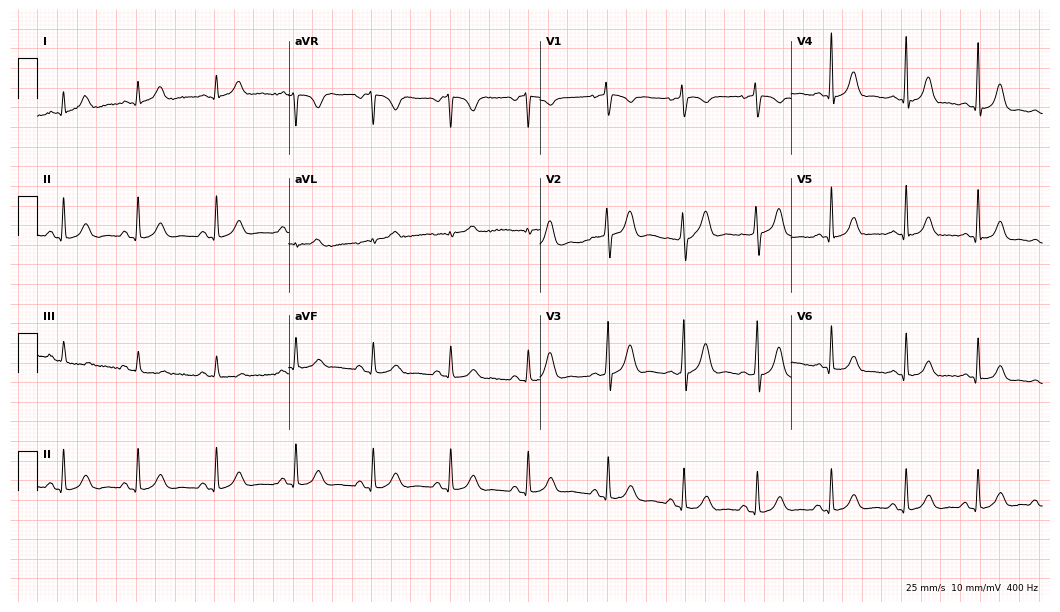
ECG (10.2-second recording at 400 Hz) — a 31-year-old female. Labelled as a normal ECG.